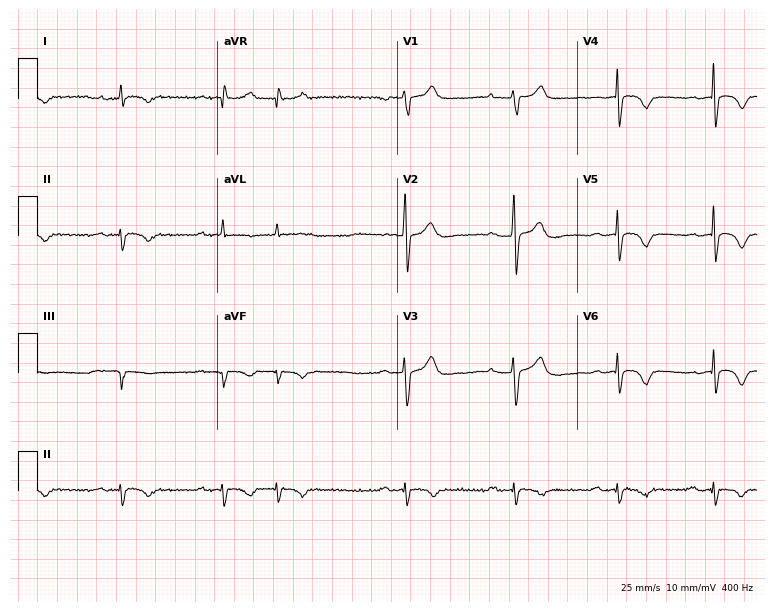
Resting 12-lead electrocardiogram. Patient: a male, 81 years old. None of these six findings is recorded: first-degree AV block, right bundle branch block, left bundle branch block, sinus bradycardia, atrial fibrillation, sinus tachycardia.